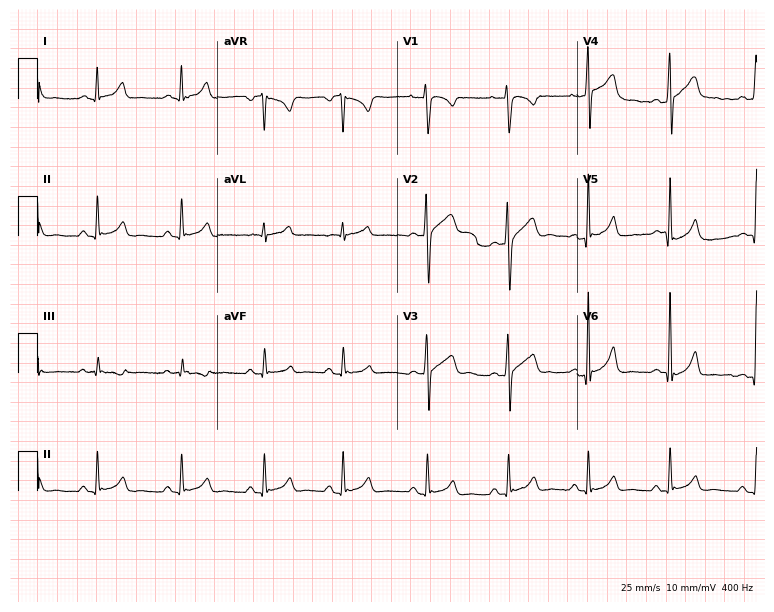
12-lead ECG from a 35-year-old man (7.3-second recording at 400 Hz). No first-degree AV block, right bundle branch block, left bundle branch block, sinus bradycardia, atrial fibrillation or sinus tachycardia recorded for this tracing.